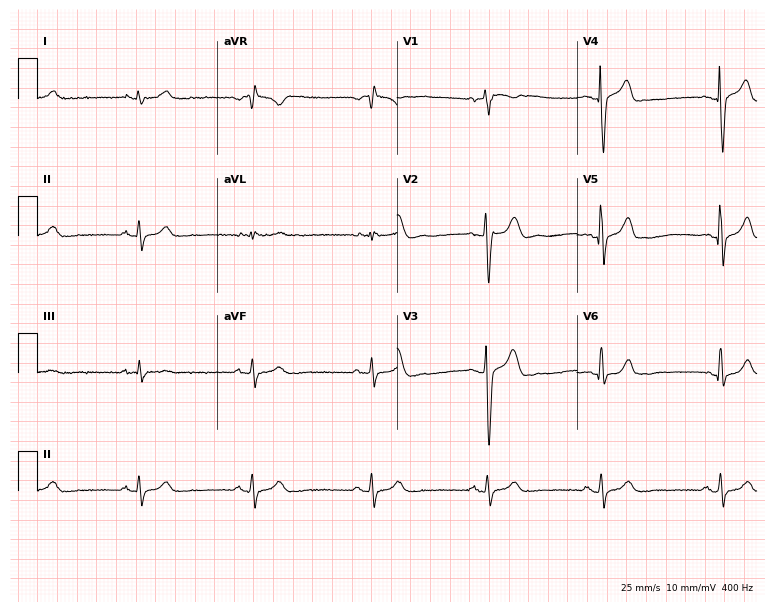
Electrocardiogram, a 46-year-old male. Overall reading on record: normal ECG.